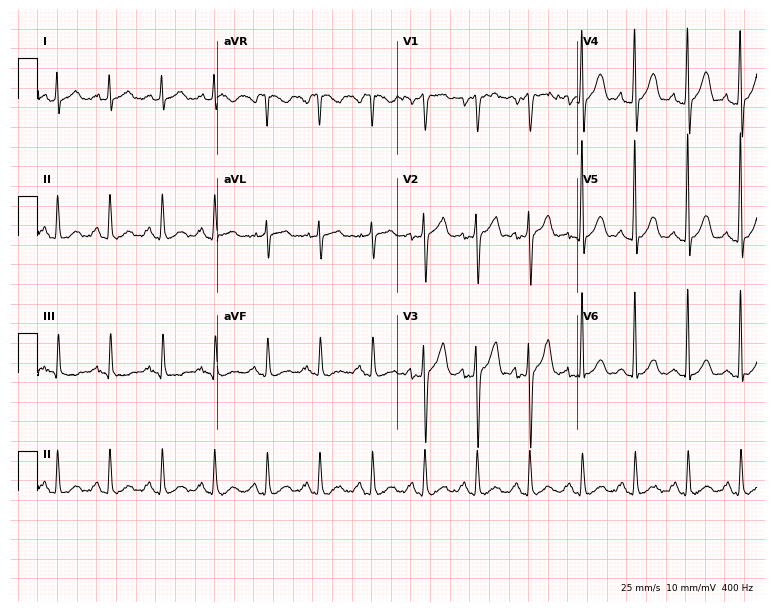
12-lead ECG (7.3-second recording at 400 Hz) from a 47-year-old male patient. Findings include sinus tachycardia (a sinus rate of 100 beats per minute or more).